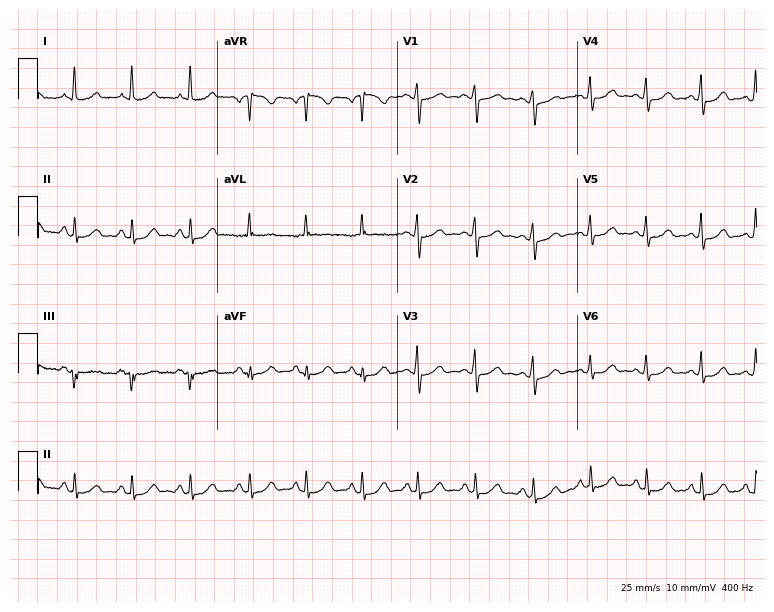
Electrocardiogram (7.3-second recording at 400 Hz), a 40-year-old female. Overall reading on record: normal ECG.